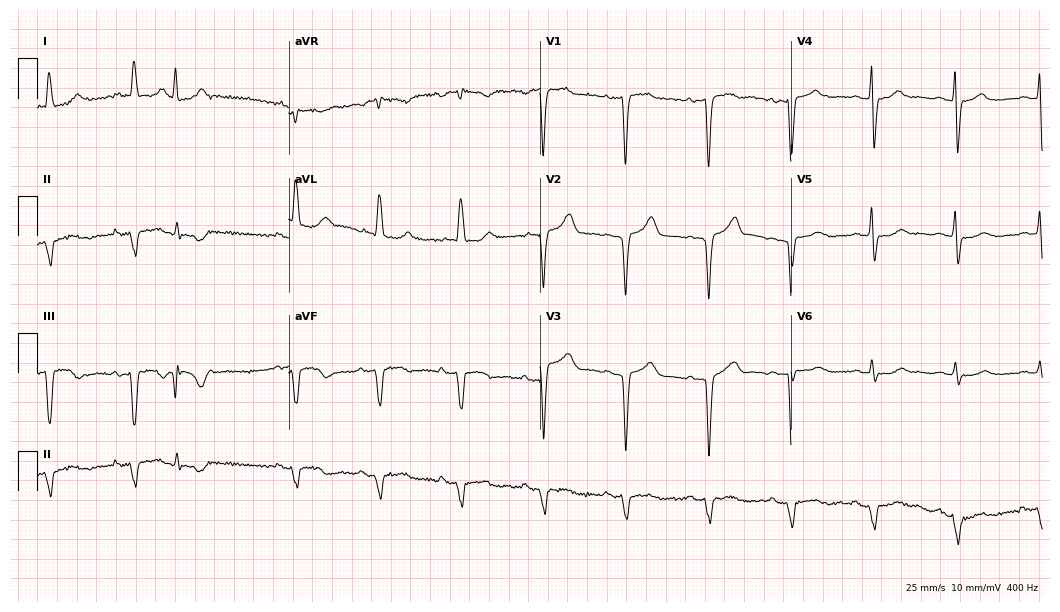
Standard 12-lead ECG recorded from an 85-year-old woman (10.2-second recording at 400 Hz). None of these six findings is recorded: first-degree AV block, right bundle branch block, left bundle branch block, sinus bradycardia, atrial fibrillation, sinus tachycardia.